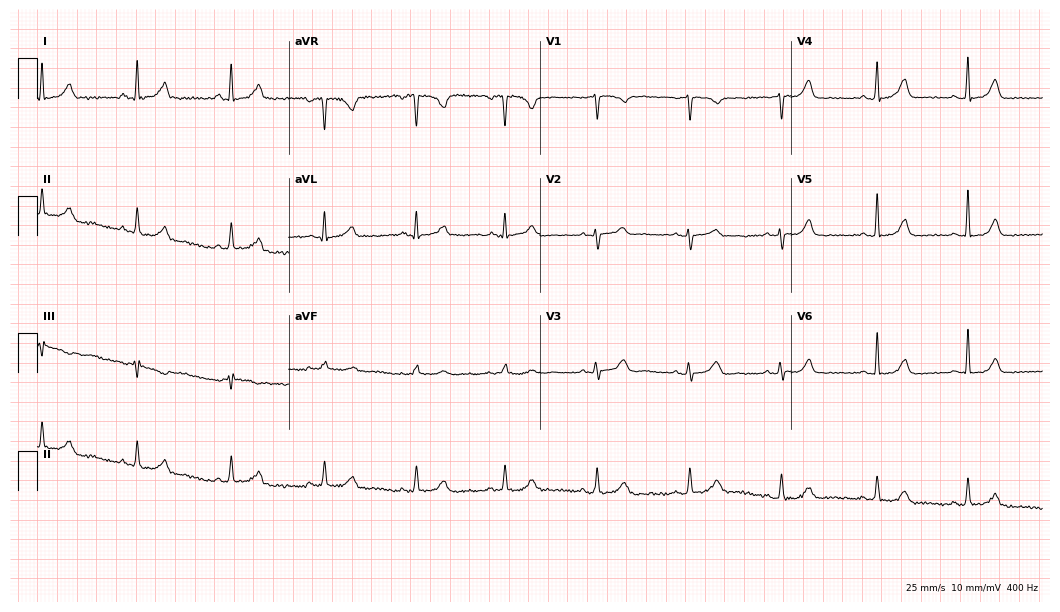
Electrocardiogram, a female patient, 42 years old. Overall reading on record: normal ECG.